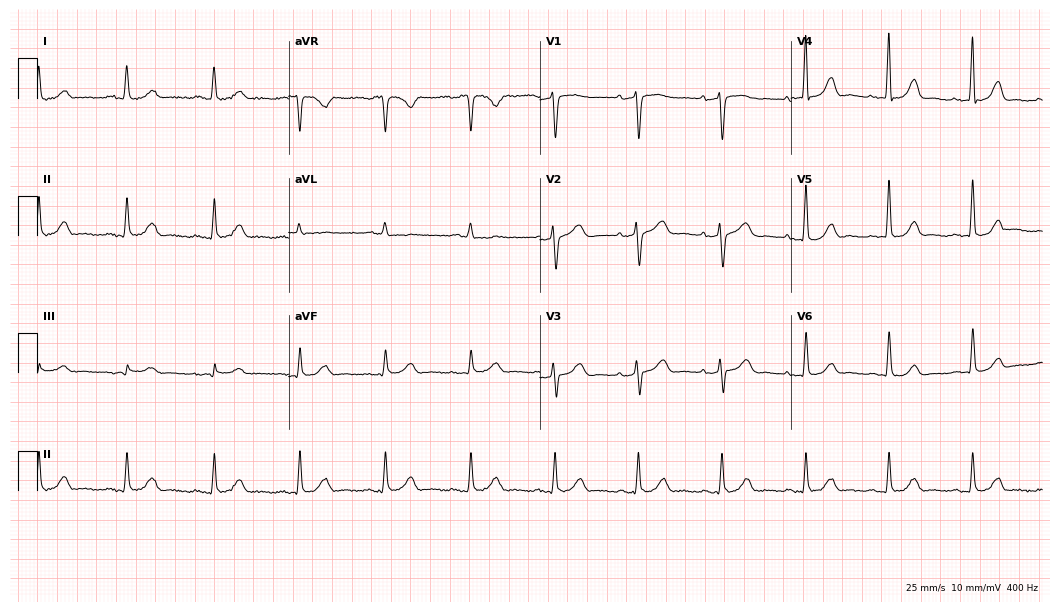
Electrocardiogram, a 58-year-old female. Overall reading on record: normal ECG.